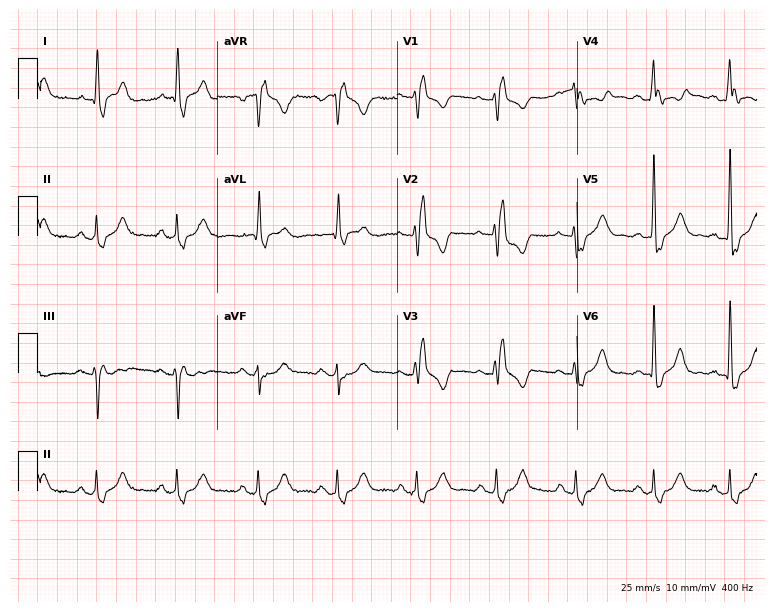
12-lead ECG from a 63-year-old male patient. No first-degree AV block, right bundle branch block, left bundle branch block, sinus bradycardia, atrial fibrillation or sinus tachycardia recorded for this tracing.